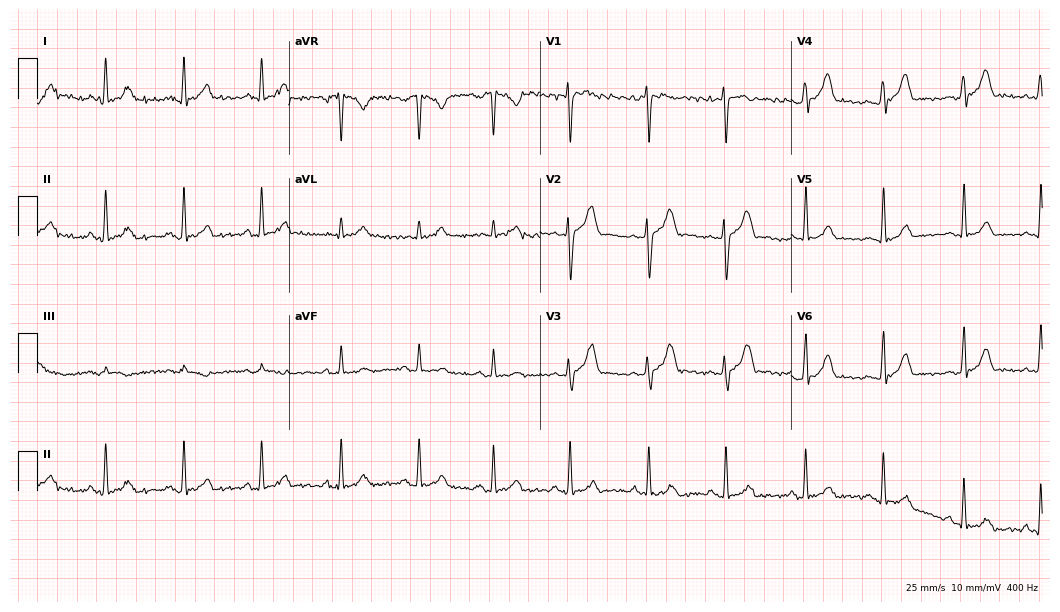
Electrocardiogram (10.2-second recording at 400 Hz), a 25-year-old male patient. Overall reading on record: normal ECG.